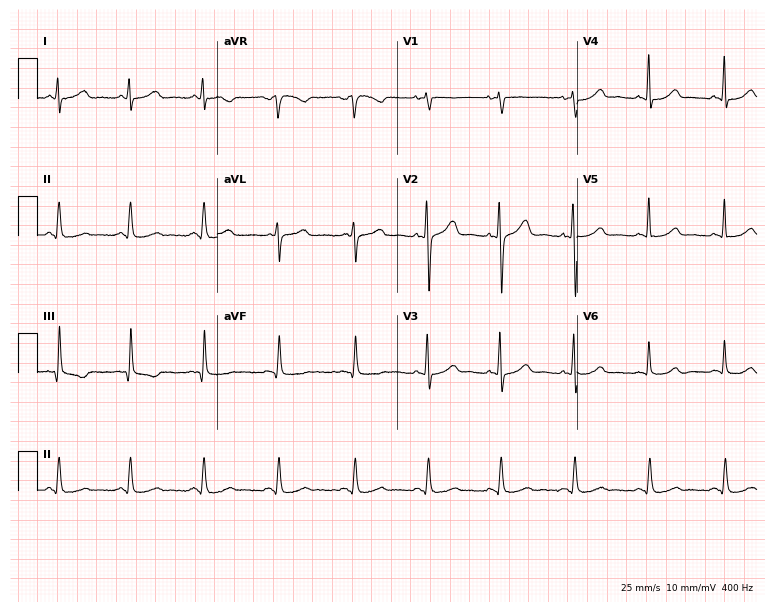
Resting 12-lead electrocardiogram (7.3-second recording at 400 Hz). Patient: a female, 44 years old. Read as a normal ECG.